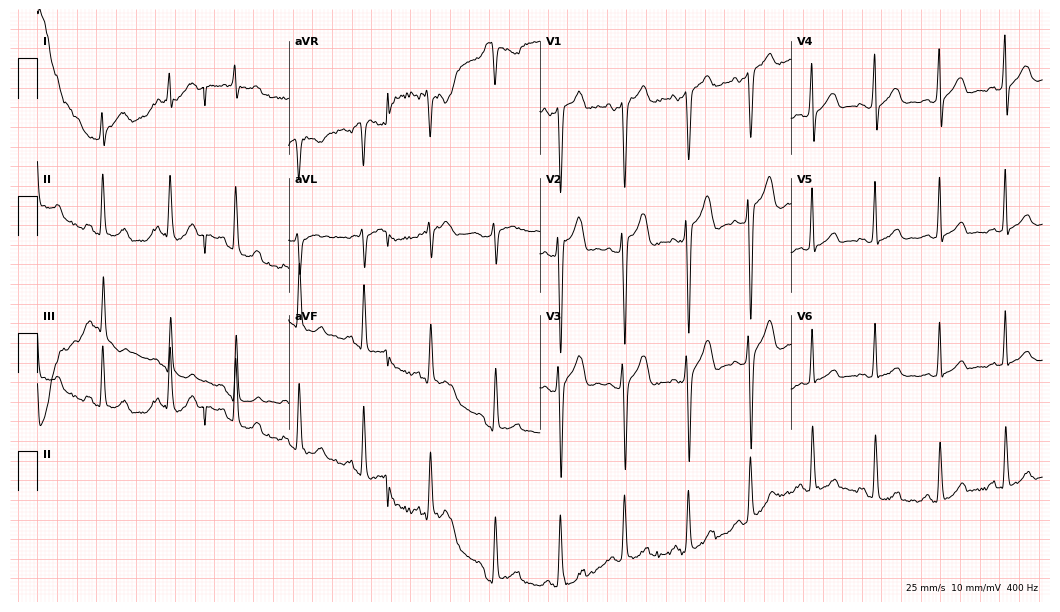
Standard 12-lead ECG recorded from a 36-year-old man. None of these six findings is recorded: first-degree AV block, right bundle branch block (RBBB), left bundle branch block (LBBB), sinus bradycardia, atrial fibrillation (AF), sinus tachycardia.